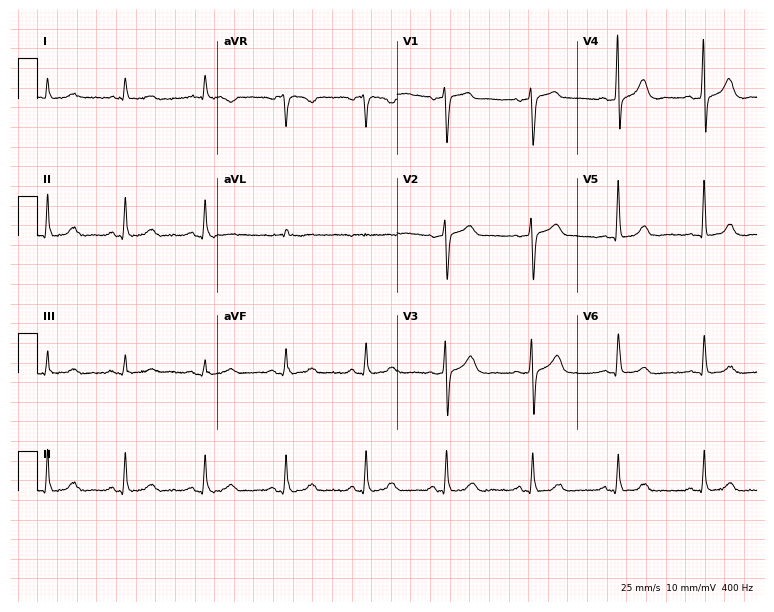
ECG (7.3-second recording at 400 Hz) — a 68-year-old male patient. Screened for six findings — first-degree AV block, right bundle branch block, left bundle branch block, sinus bradycardia, atrial fibrillation, sinus tachycardia — none is recorded. Only these six findings were labelled.